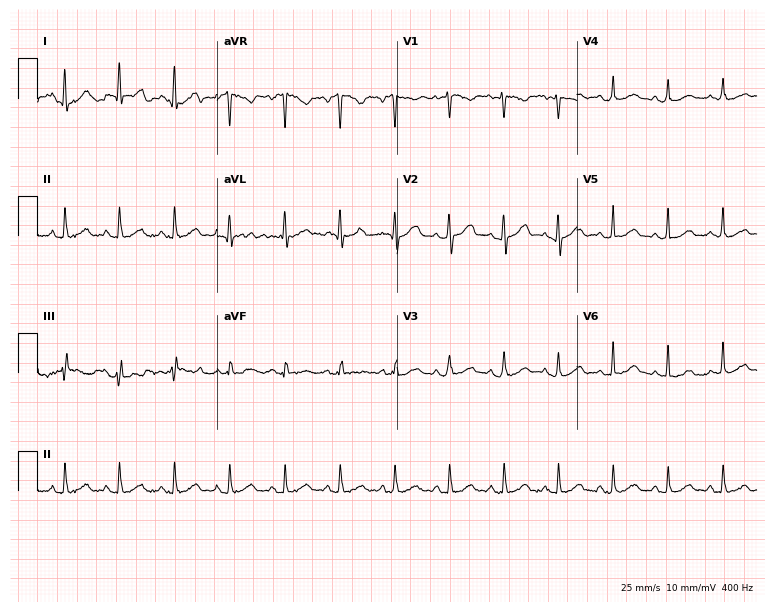
12-lead ECG from a 45-year-old female patient. Shows sinus tachycardia (a sinus rate of 100 beats per minute or more).